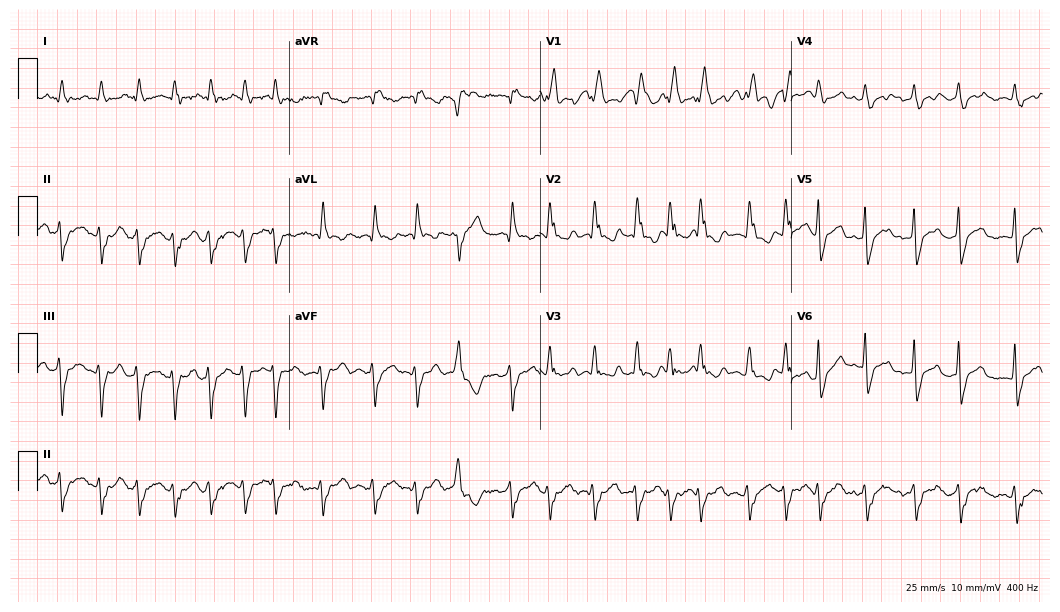
ECG (10.2-second recording at 400 Hz) — a 78-year-old female patient. Findings include right bundle branch block, atrial fibrillation, sinus tachycardia (a sinus rate of 100 beats per minute or more).